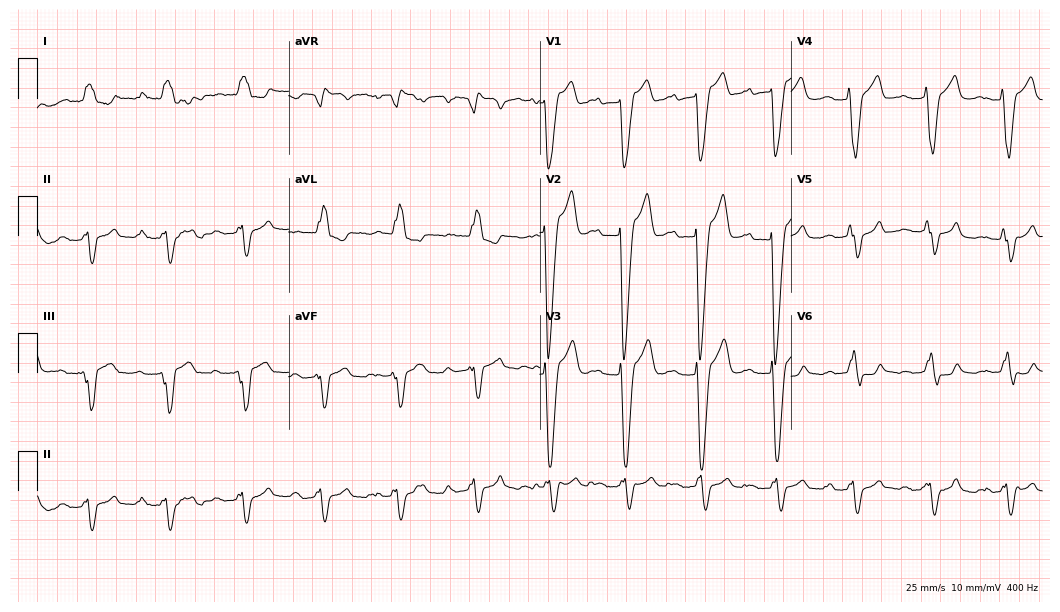
12-lead ECG from a female, 81 years old. Findings include first-degree AV block, left bundle branch block (LBBB).